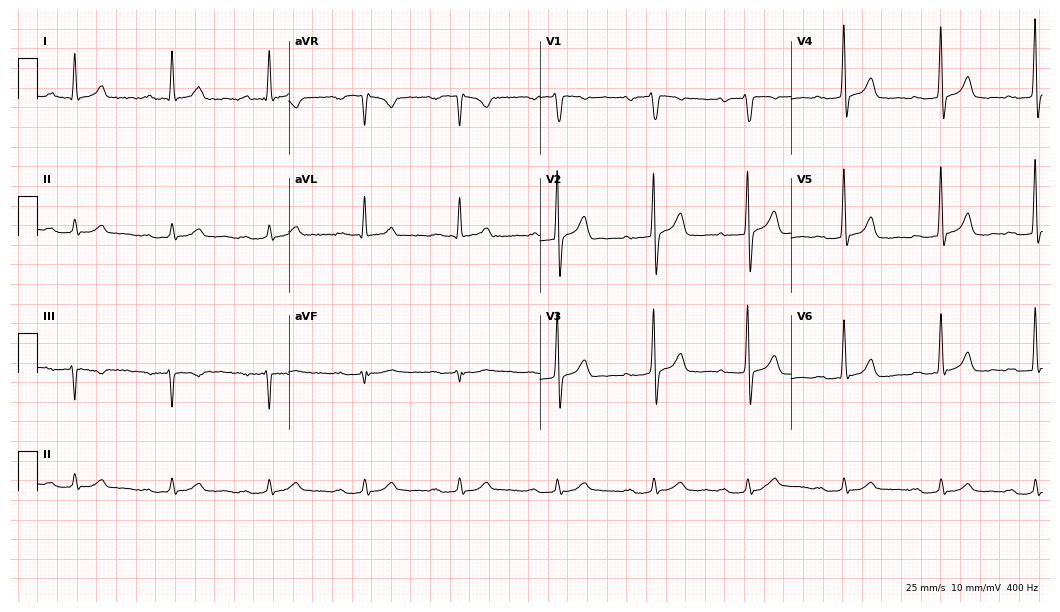
Electrocardiogram, a 59-year-old male patient. Overall reading on record: normal ECG.